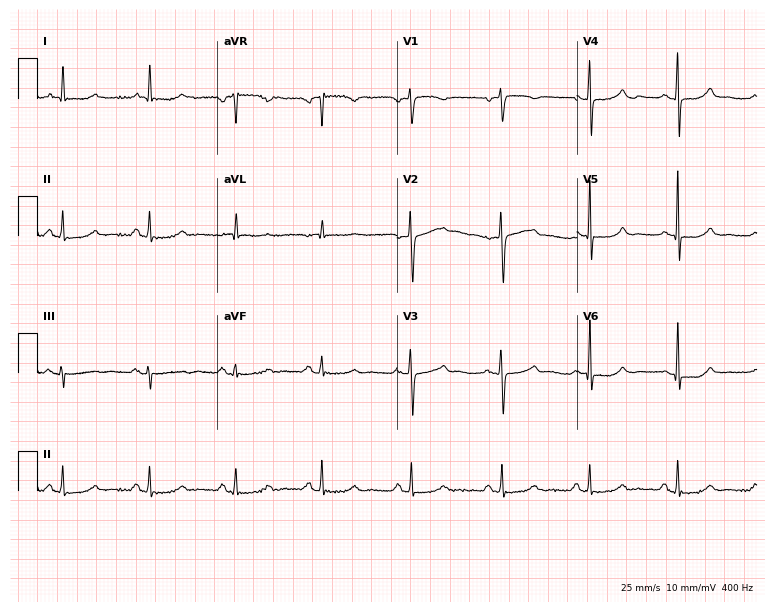
ECG — a 70-year-old female patient. Labelled as a normal ECG.